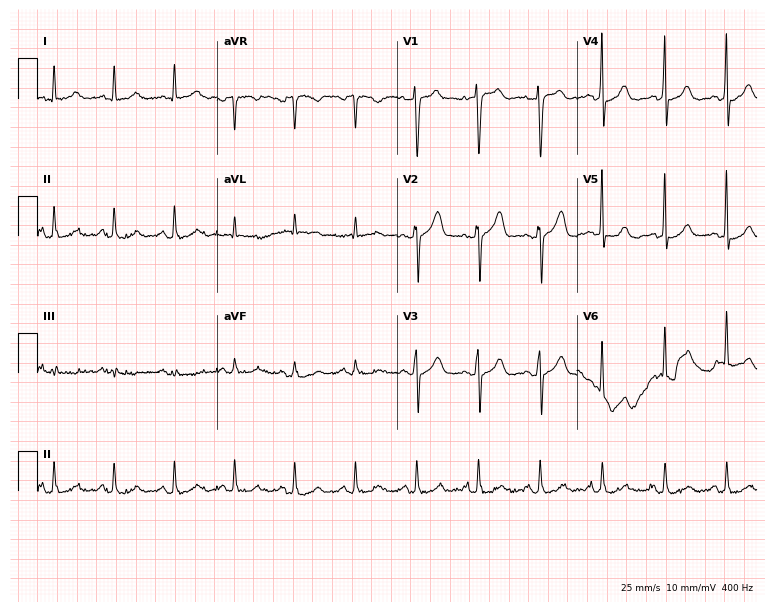
Standard 12-lead ECG recorded from a 55-year-old male (7.3-second recording at 400 Hz). None of these six findings is recorded: first-degree AV block, right bundle branch block, left bundle branch block, sinus bradycardia, atrial fibrillation, sinus tachycardia. Findings outside these six are not listed.